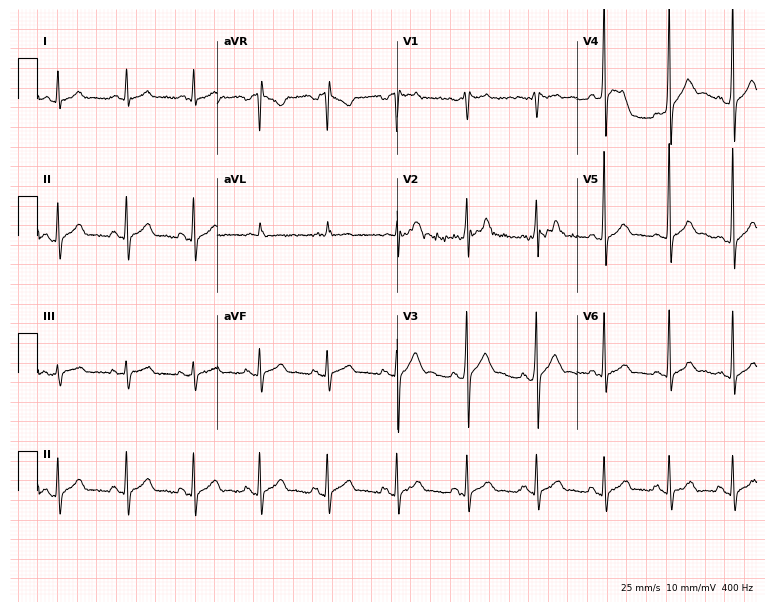
12-lead ECG from a 25-year-old male (7.3-second recording at 400 Hz). No first-degree AV block, right bundle branch block, left bundle branch block, sinus bradycardia, atrial fibrillation or sinus tachycardia recorded for this tracing.